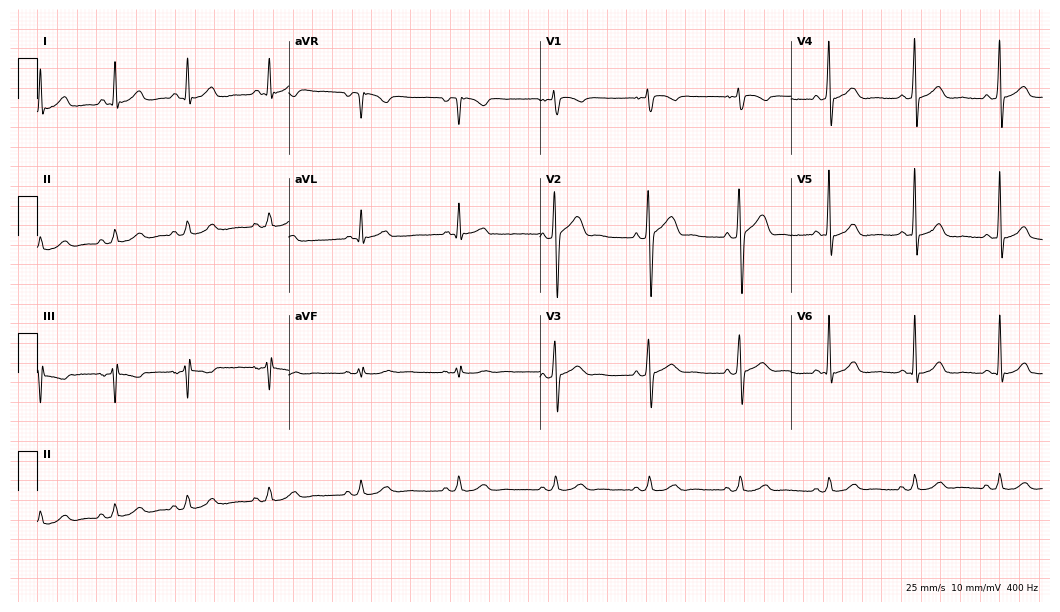
Resting 12-lead electrocardiogram. Patient: a man, 48 years old. Read as a normal ECG.